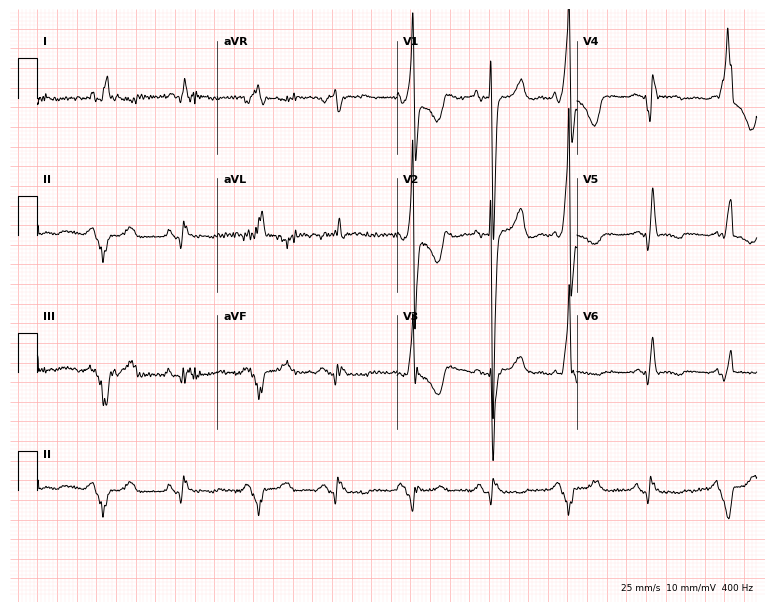
12-lead ECG from a 73-year-old male patient. No first-degree AV block, right bundle branch block, left bundle branch block, sinus bradycardia, atrial fibrillation or sinus tachycardia recorded for this tracing. Only these six findings were labelled.